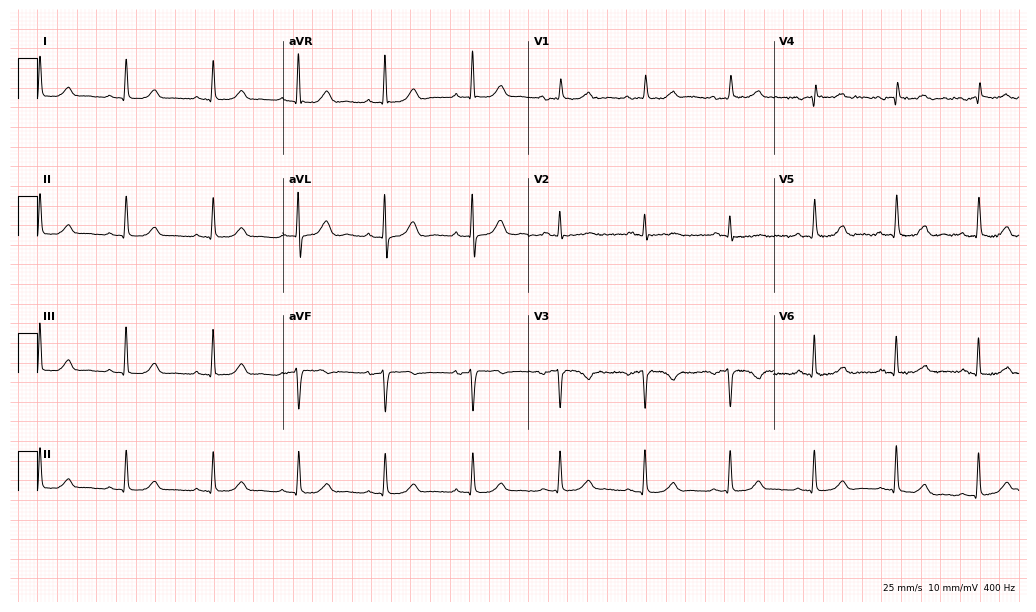
12-lead ECG from a female, 79 years old. No first-degree AV block, right bundle branch block, left bundle branch block, sinus bradycardia, atrial fibrillation or sinus tachycardia recorded for this tracing.